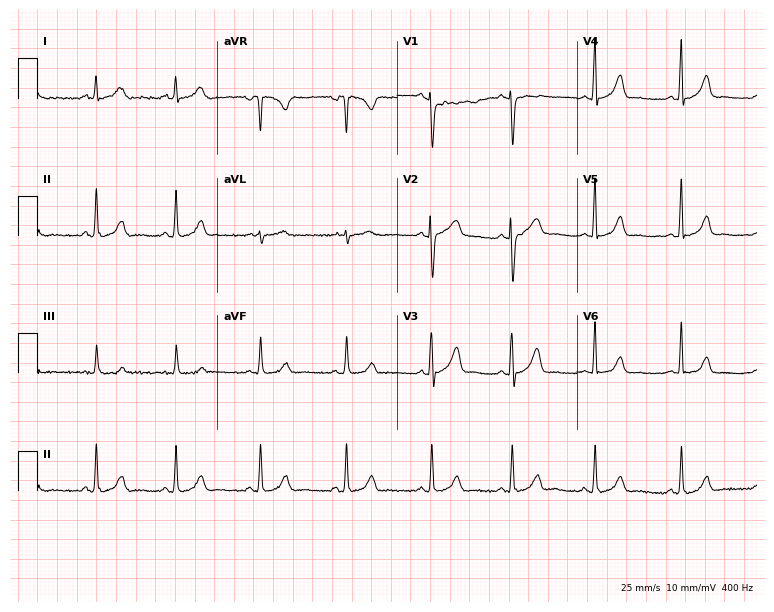
Resting 12-lead electrocardiogram. Patient: a 34-year-old woman. Read as a normal ECG.